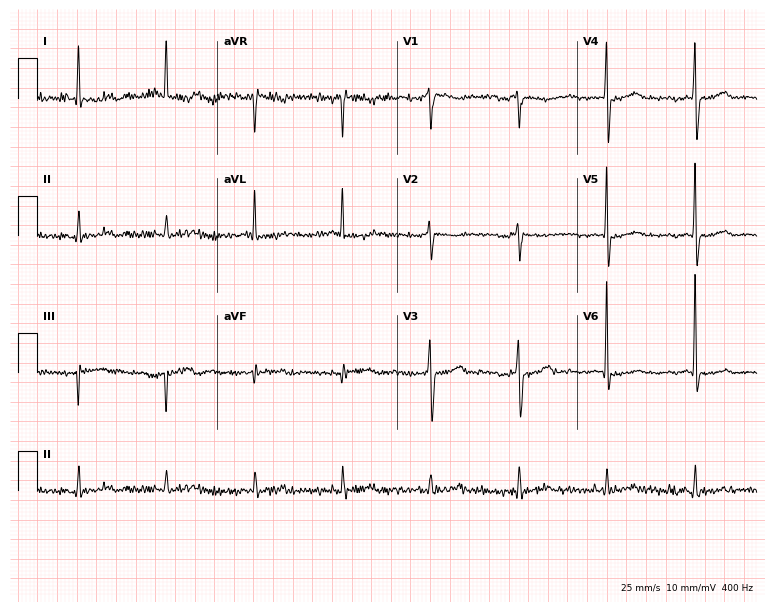
ECG — a male, 81 years old. Screened for six findings — first-degree AV block, right bundle branch block, left bundle branch block, sinus bradycardia, atrial fibrillation, sinus tachycardia — none is recorded.